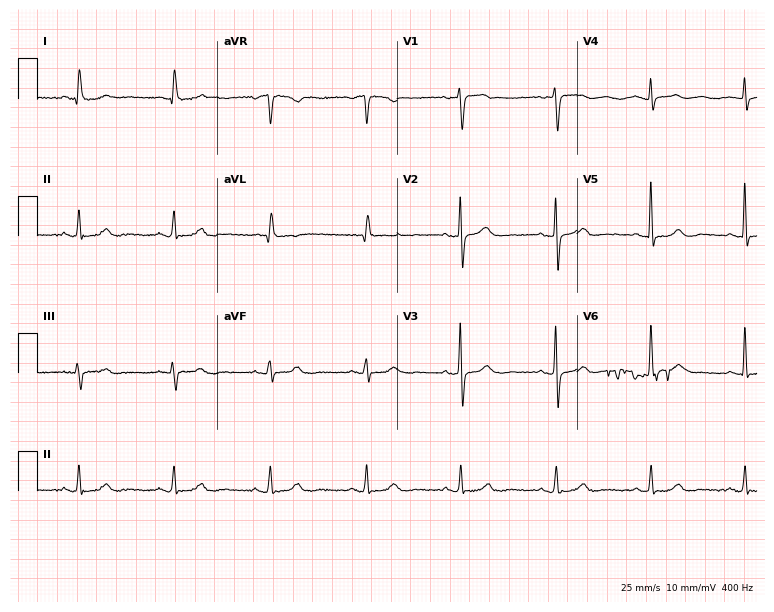
Electrocardiogram (7.3-second recording at 400 Hz), a female patient, 84 years old. Overall reading on record: normal ECG.